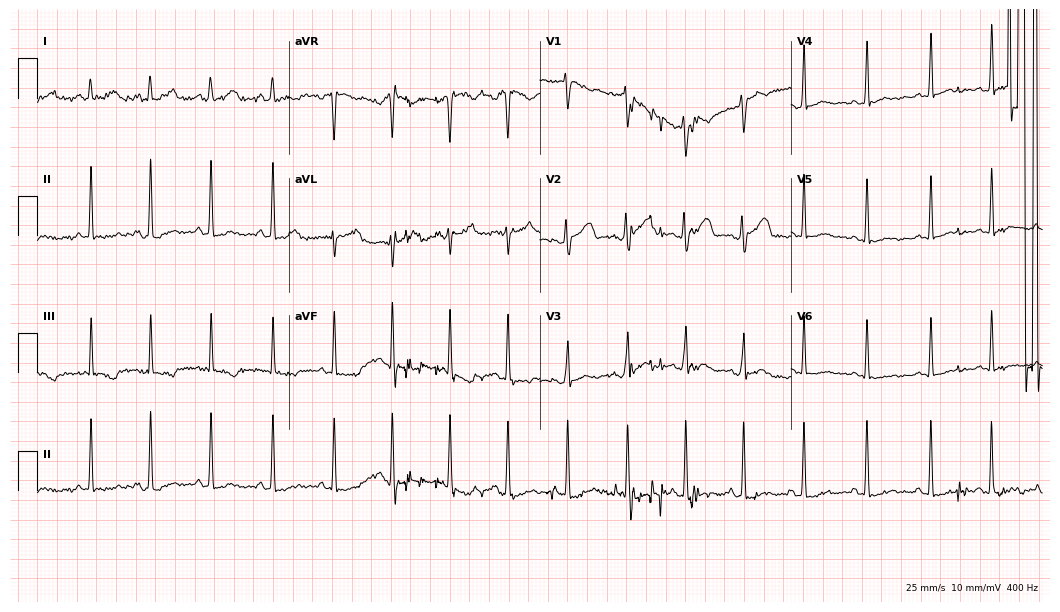
Electrocardiogram, a woman, 25 years old. Of the six screened findings (first-degree AV block, right bundle branch block, left bundle branch block, sinus bradycardia, atrial fibrillation, sinus tachycardia), none is recorded.